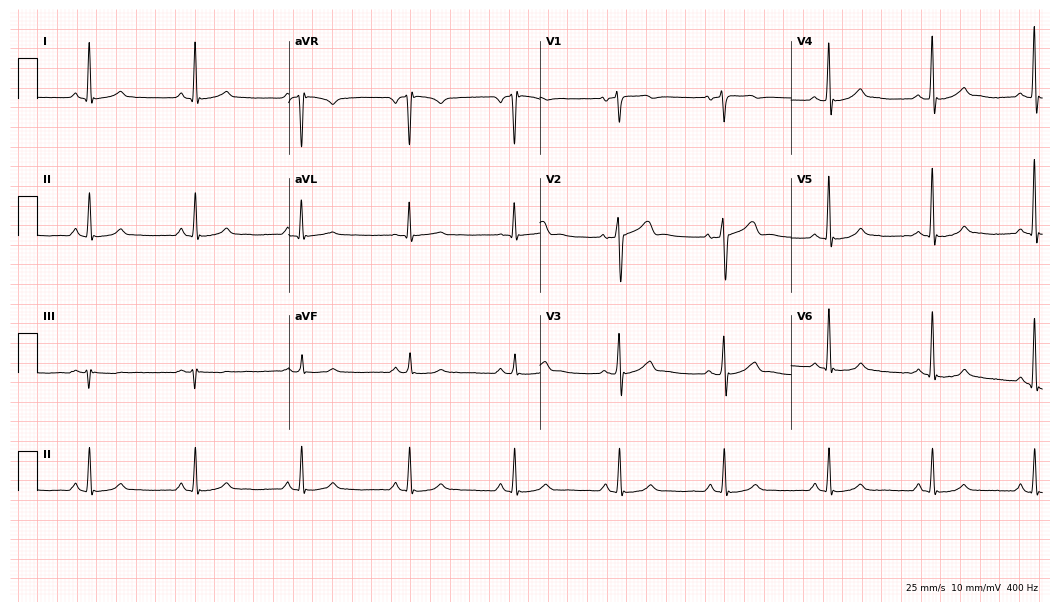
Electrocardiogram, a 55-year-old male patient. Overall reading on record: normal ECG.